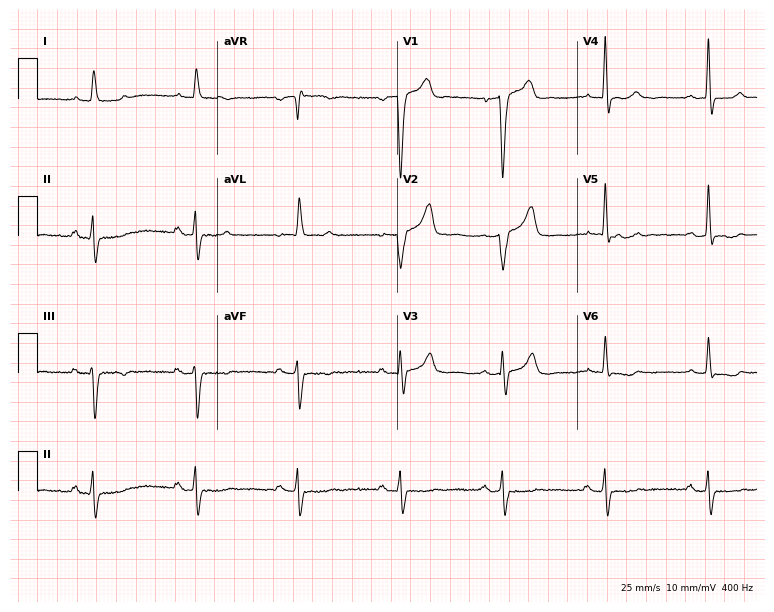
Electrocardiogram, an 85-year-old male. Of the six screened findings (first-degree AV block, right bundle branch block, left bundle branch block, sinus bradycardia, atrial fibrillation, sinus tachycardia), none is recorded. Other findings, if any, are not listed.